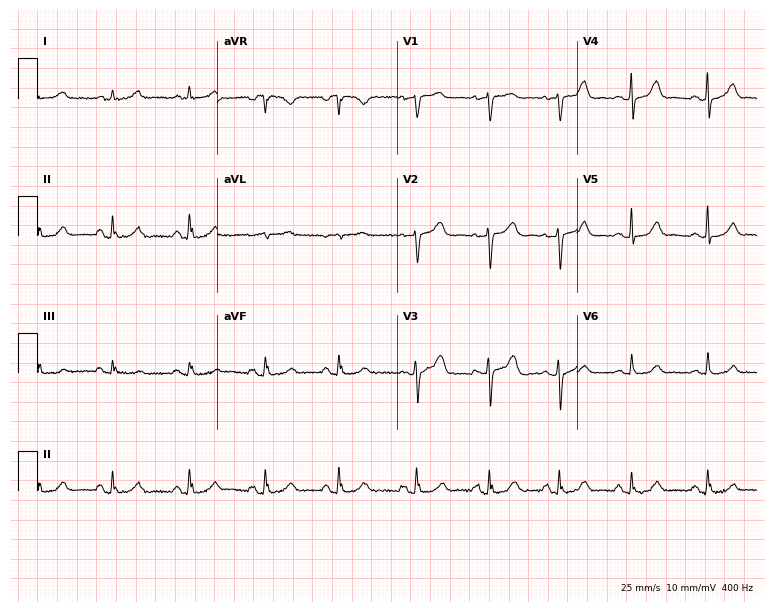
Resting 12-lead electrocardiogram (7.3-second recording at 400 Hz). Patient: a 77-year-old female. None of these six findings is recorded: first-degree AV block, right bundle branch block (RBBB), left bundle branch block (LBBB), sinus bradycardia, atrial fibrillation (AF), sinus tachycardia. Only these six findings were labelled.